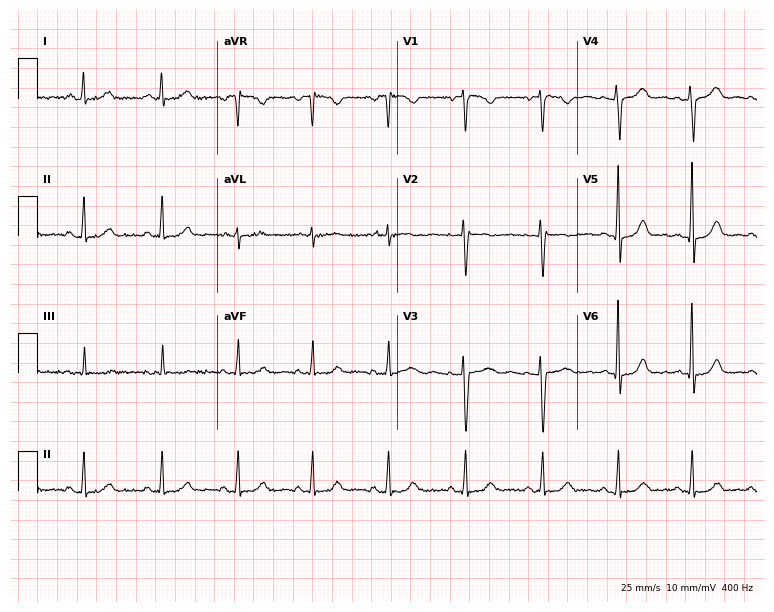
12-lead ECG (7.3-second recording at 400 Hz) from a female, 33 years old. Labelled as a normal ECG.